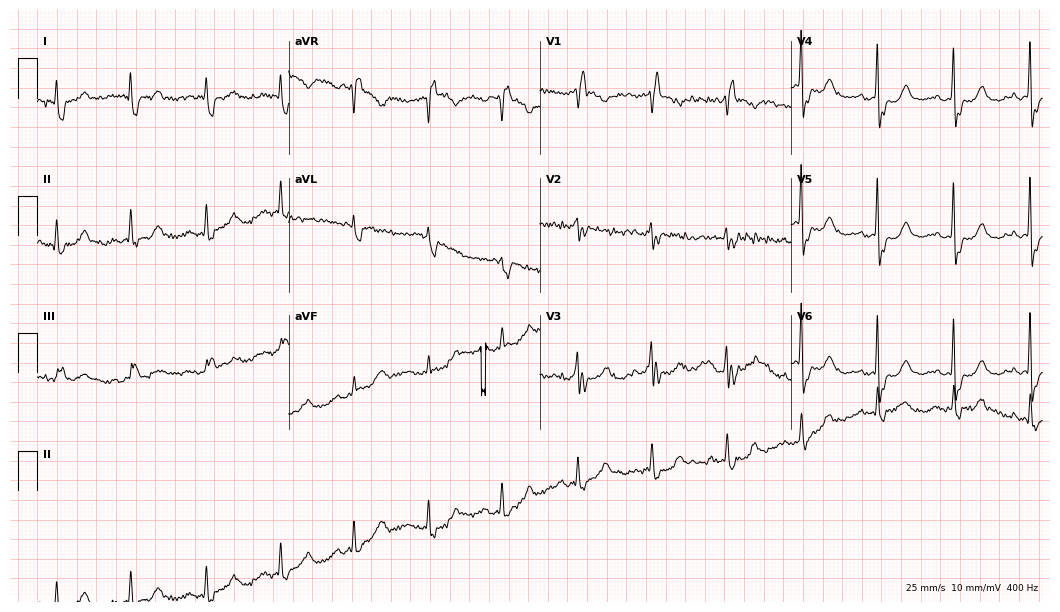
12-lead ECG (10.2-second recording at 400 Hz) from a 73-year-old woman. Screened for six findings — first-degree AV block, right bundle branch block, left bundle branch block, sinus bradycardia, atrial fibrillation, sinus tachycardia — none is recorded. Findings outside these six are not listed.